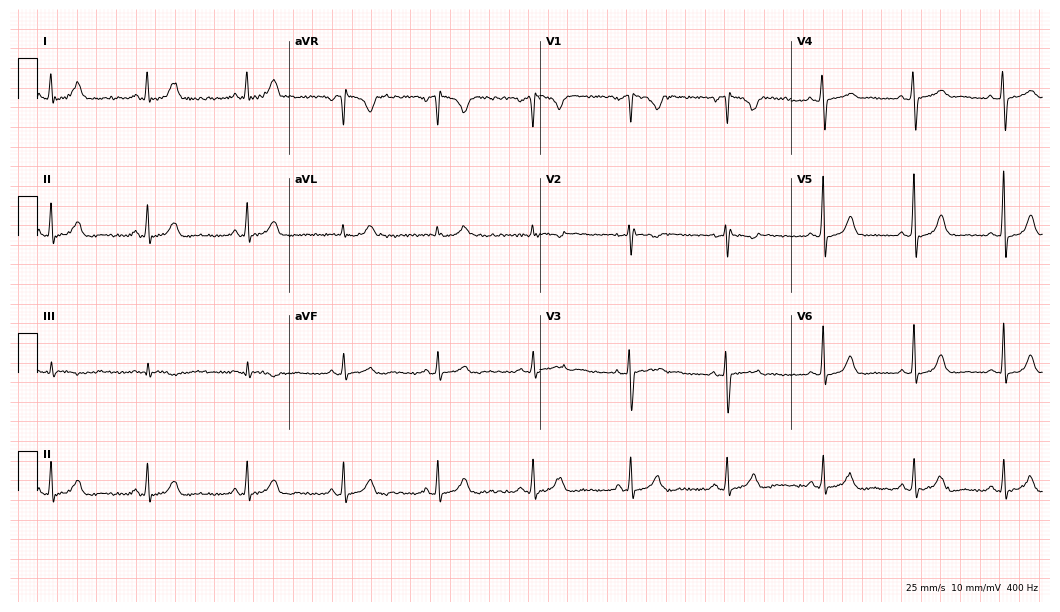
Electrocardiogram, a 36-year-old woman. Of the six screened findings (first-degree AV block, right bundle branch block (RBBB), left bundle branch block (LBBB), sinus bradycardia, atrial fibrillation (AF), sinus tachycardia), none is recorded.